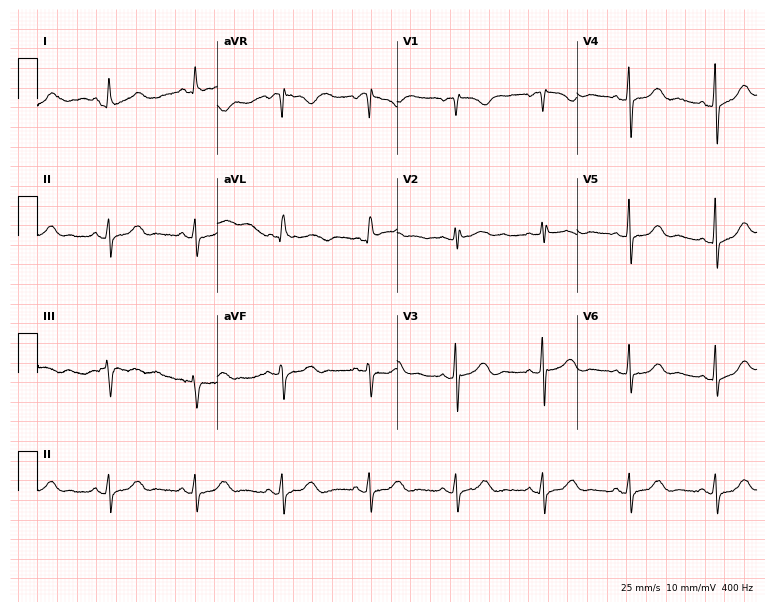
ECG — a female patient, 81 years old. Screened for six findings — first-degree AV block, right bundle branch block (RBBB), left bundle branch block (LBBB), sinus bradycardia, atrial fibrillation (AF), sinus tachycardia — none is recorded. Other findings, if any, are not listed.